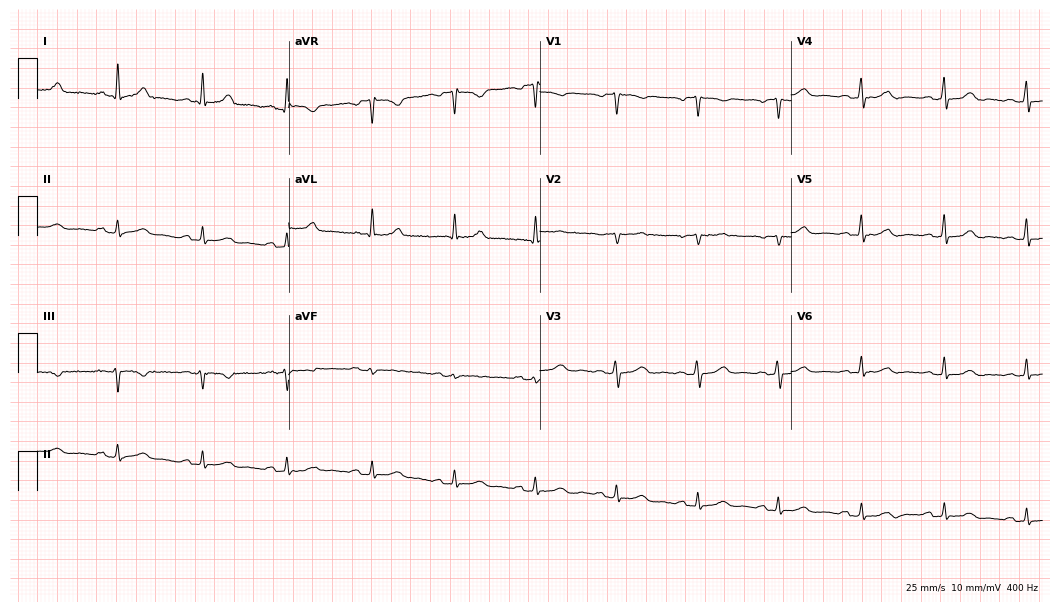
12-lead ECG from a female, 50 years old. Screened for six findings — first-degree AV block, right bundle branch block, left bundle branch block, sinus bradycardia, atrial fibrillation, sinus tachycardia — none is recorded. Findings outside these six are not listed.